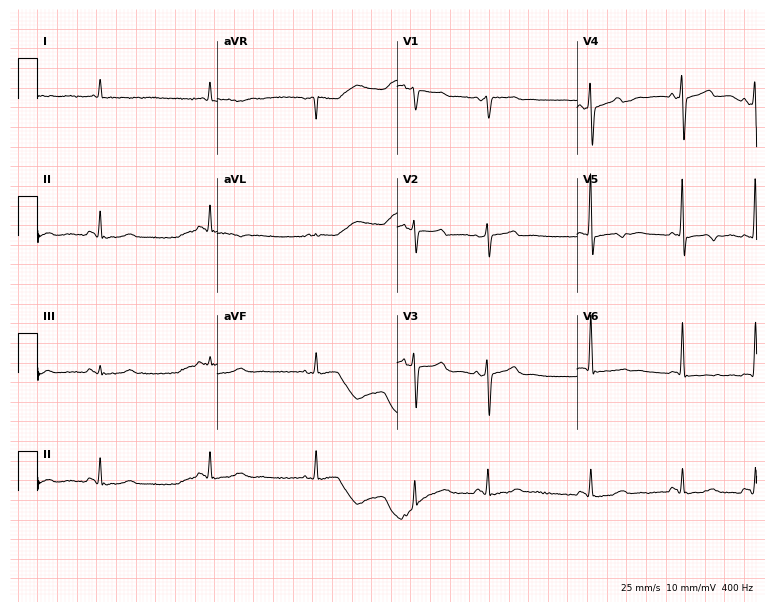
12-lead ECG from a female patient, 81 years old. No first-degree AV block, right bundle branch block (RBBB), left bundle branch block (LBBB), sinus bradycardia, atrial fibrillation (AF) or sinus tachycardia recorded for this tracing. Findings outside these six are not listed.